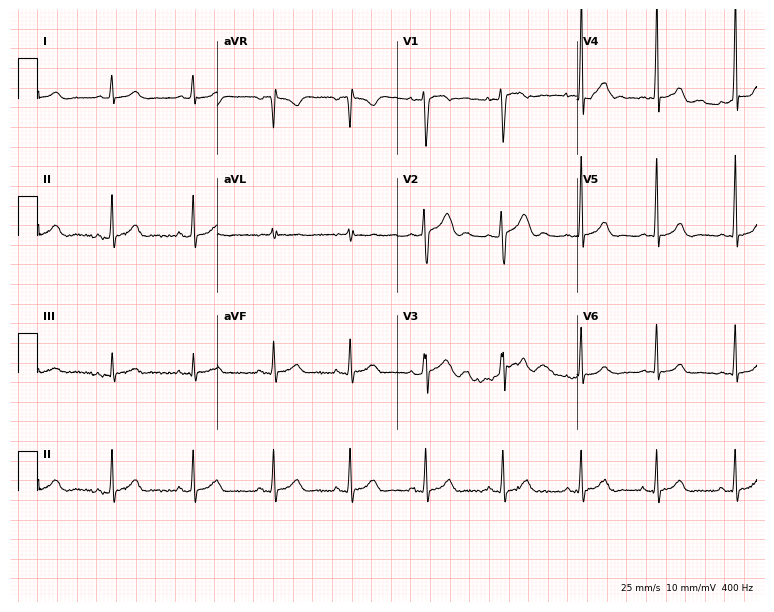
Standard 12-lead ECG recorded from a 21-year-old male patient (7.3-second recording at 400 Hz). Read as a normal ECG.